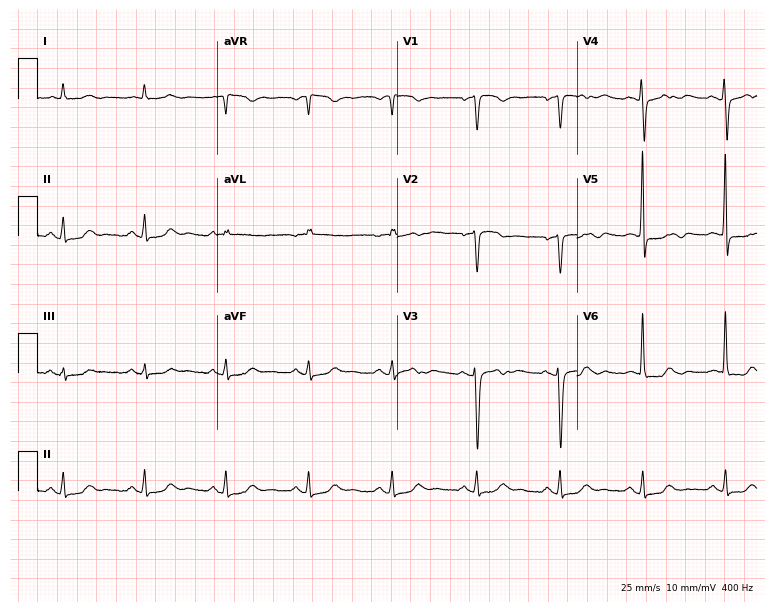
12-lead ECG (7.3-second recording at 400 Hz) from a female, 59 years old. Labelled as a normal ECG.